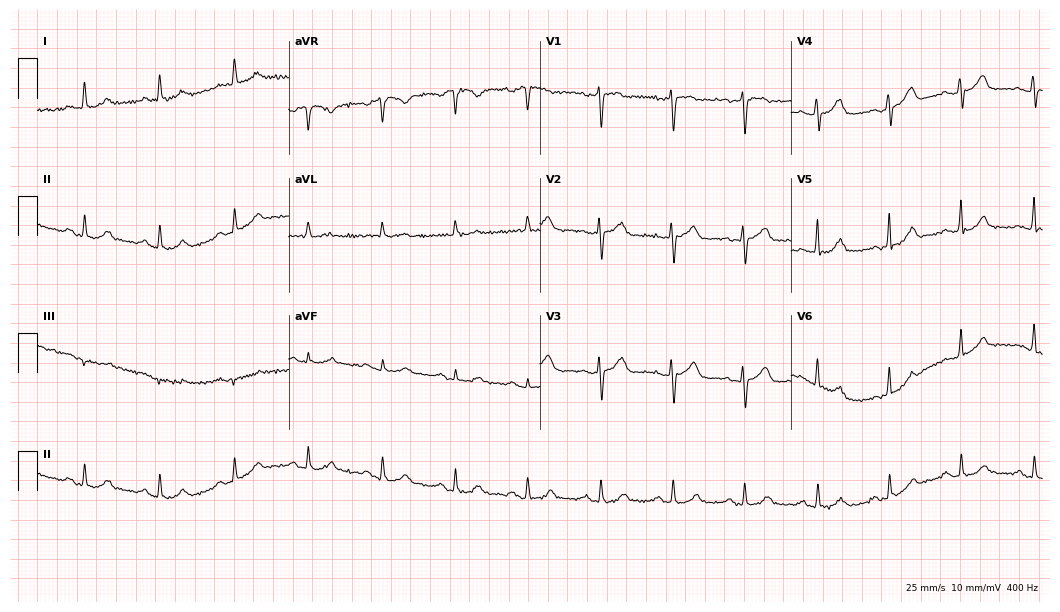
12-lead ECG from a 56-year-old female. Recorded interpretation: within normal limits.